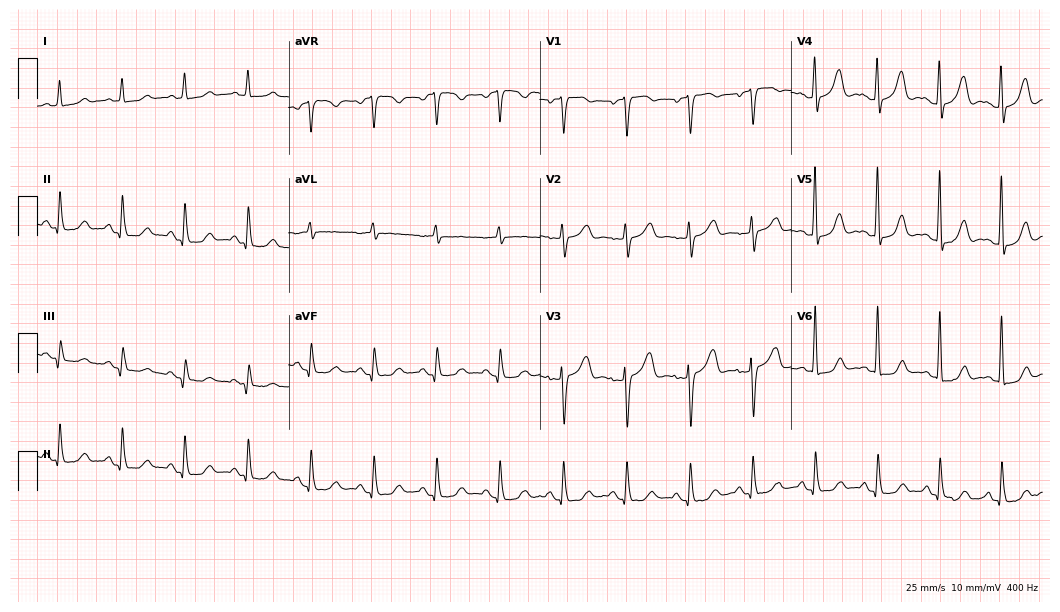
12-lead ECG (10.2-second recording at 400 Hz) from a 65-year-old woman. Labelled as a normal ECG.